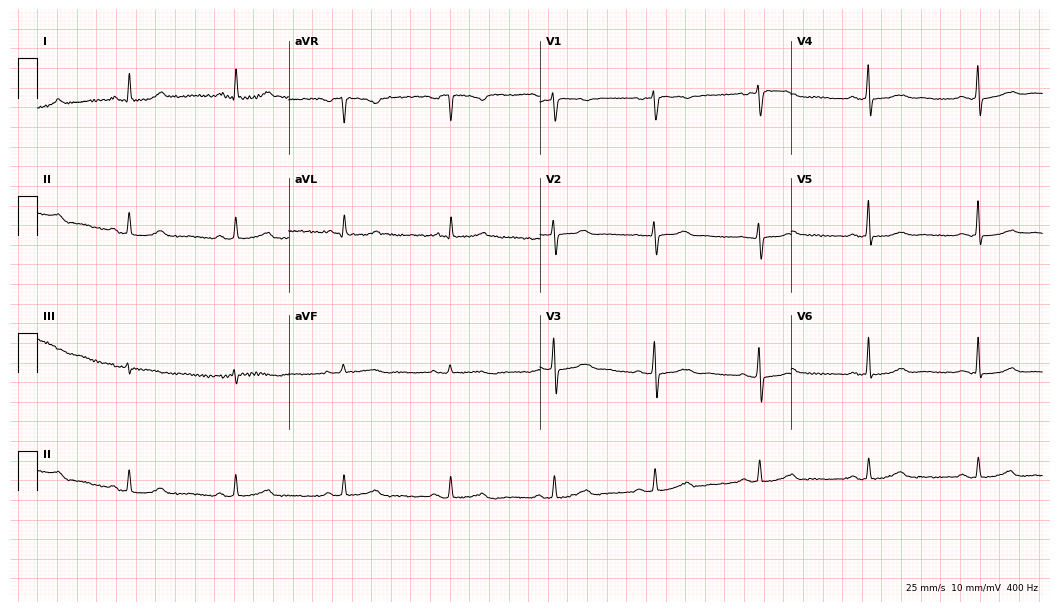
Electrocardiogram (10.2-second recording at 400 Hz), a woman, 52 years old. Overall reading on record: normal ECG.